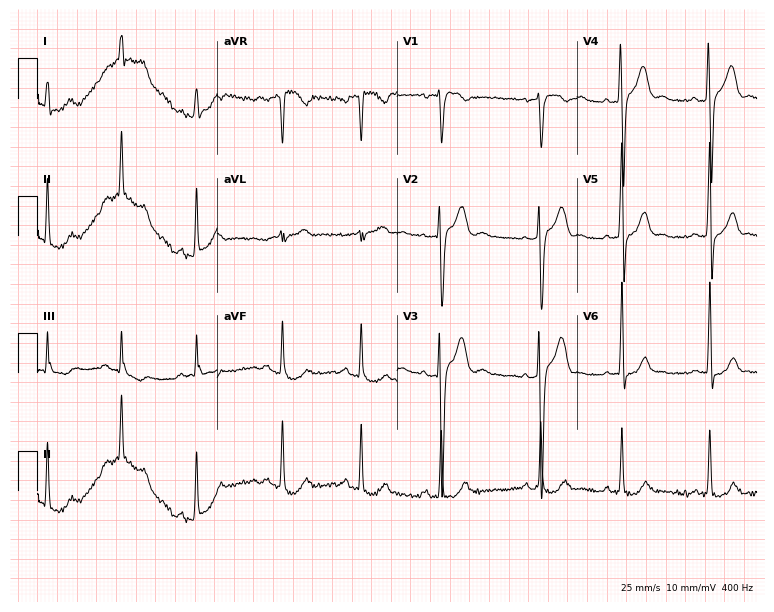
ECG — a 31-year-old man. Labelled as a normal ECG.